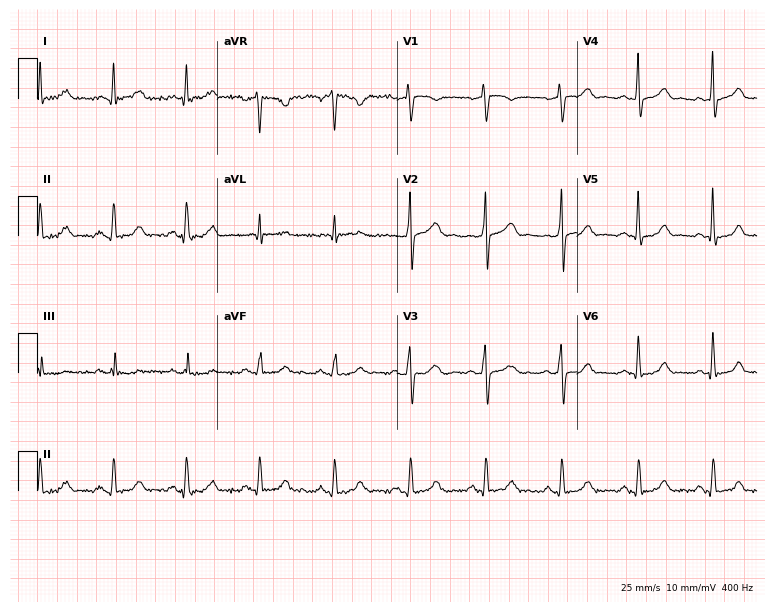
ECG (7.3-second recording at 400 Hz) — a male patient, 61 years old. Labelled as a normal ECG.